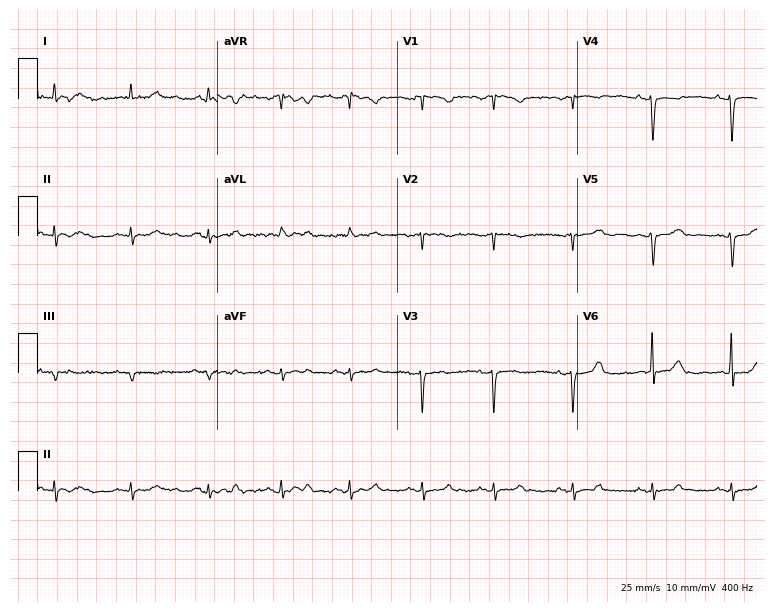
Resting 12-lead electrocardiogram. Patient: an 84-year-old female. None of these six findings is recorded: first-degree AV block, right bundle branch block (RBBB), left bundle branch block (LBBB), sinus bradycardia, atrial fibrillation (AF), sinus tachycardia.